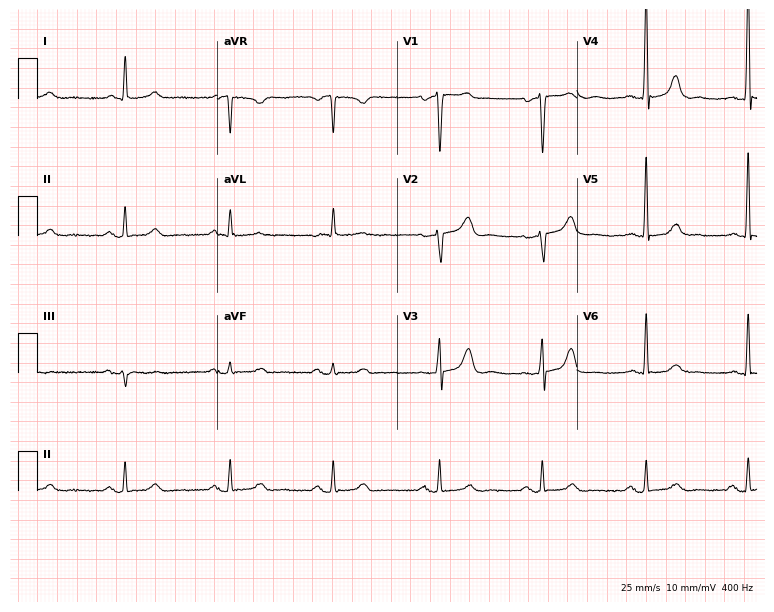
Electrocardiogram, a male, 75 years old. Overall reading on record: normal ECG.